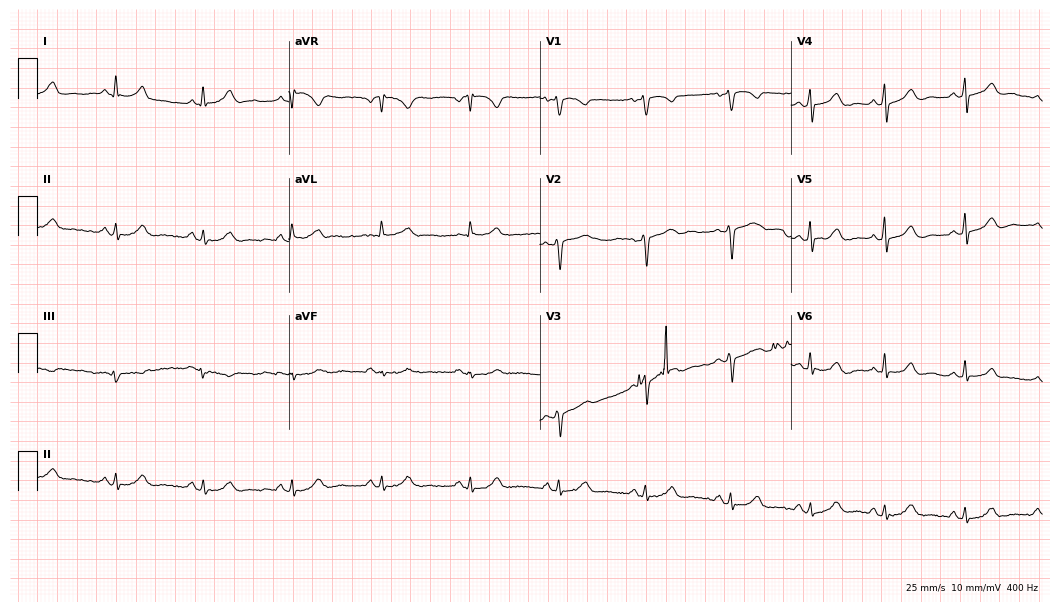
12-lead ECG from a female patient, 51 years old. Screened for six findings — first-degree AV block, right bundle branch block, left bundle branch block, sinus bradycardia, atrial fibrillation, sinus tachycardia — none is recorded.